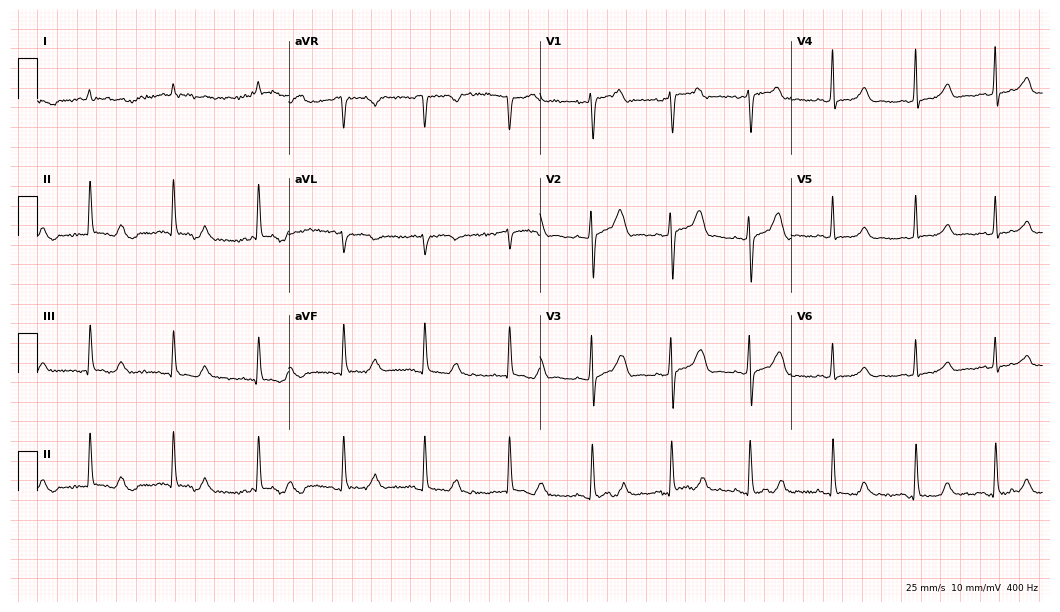
12-lead ECG from a female, 72 years old (10.2-second recording at 400 Hz). Recorded interpretation: within normal limits.